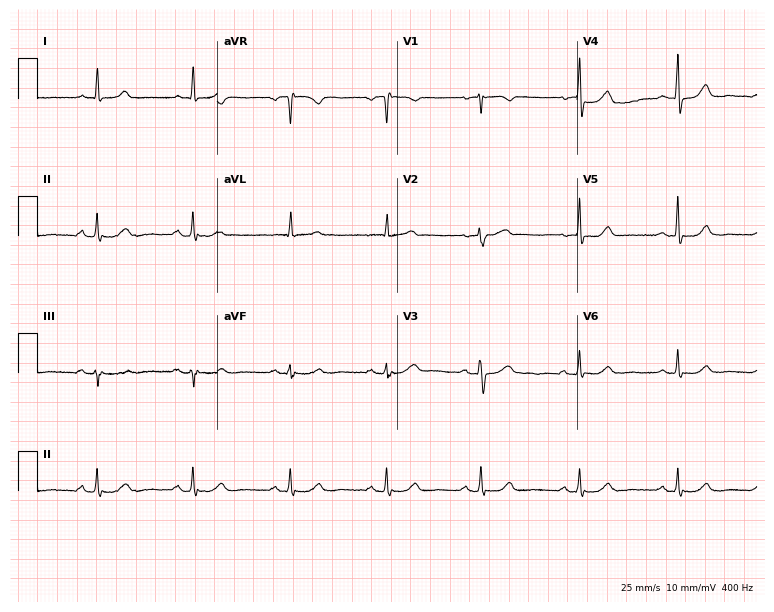
Electrocardiogram (7.3-second recording at 400 Hz), a 70-year-old female. Overall reading on record: normal ECG.